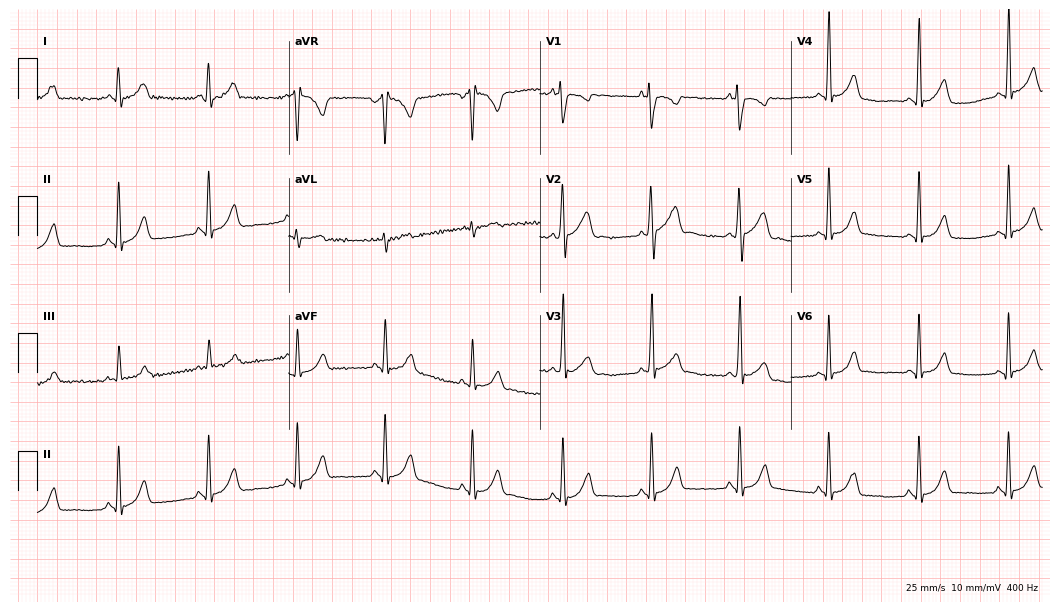
ECG — a male patient, 22 years old. Labelled as a normal ECG.